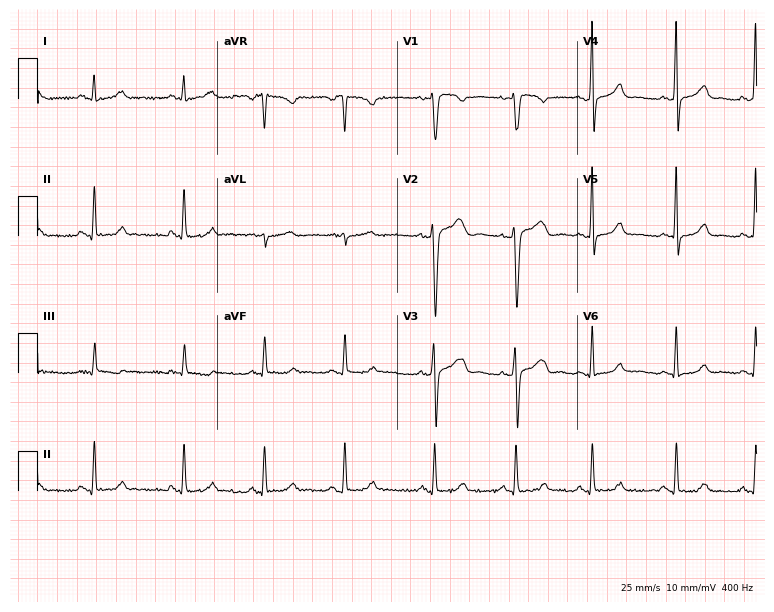
12-lead ECG from a 33-year-old female patient. No first-degree AV block, right bundle branch block, left bundle branch block, sinus bradycardia, atrial fibrillation or sinus tachycardia recorded for this tracing.